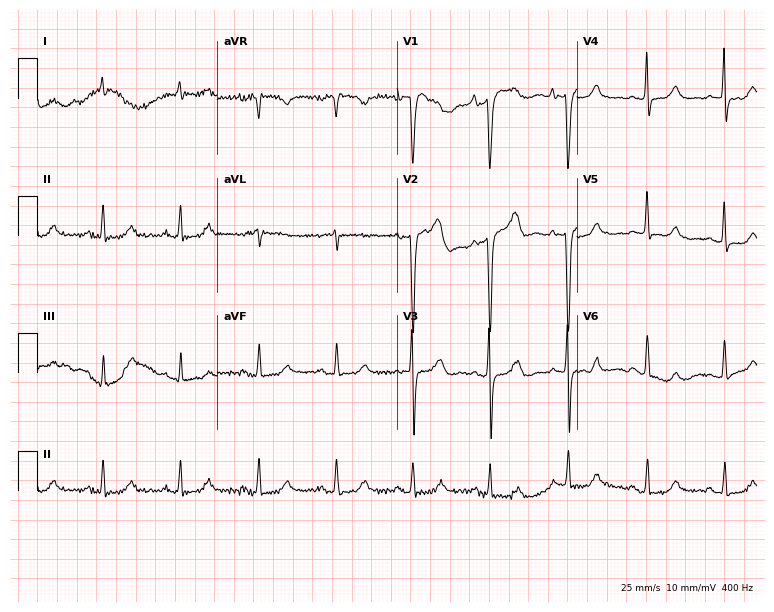
ECG — a female patient, 77 years old. Screened for six findings — first-degree AV block, right bundle branch block, left bundle branch block, sinus bradycardia, atrial fibrillation, sinus tachycardia — none is recorded. Findings outside these six are not listed.